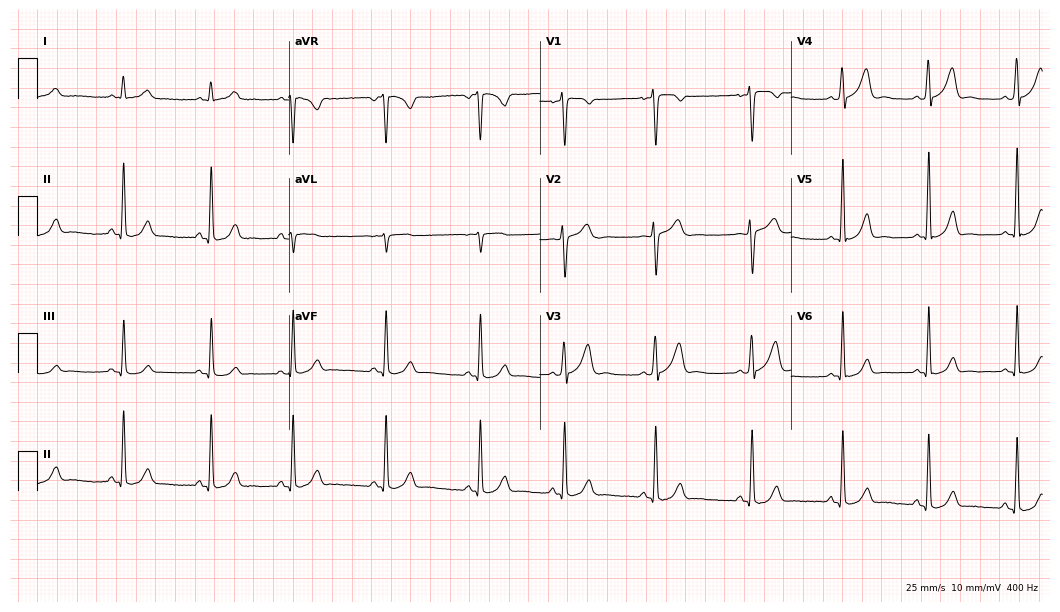
Standard 12-lead ECG recorded from a woman, 27 years old (10.2-second recording at 400 Hz). Read as a normal ECG.